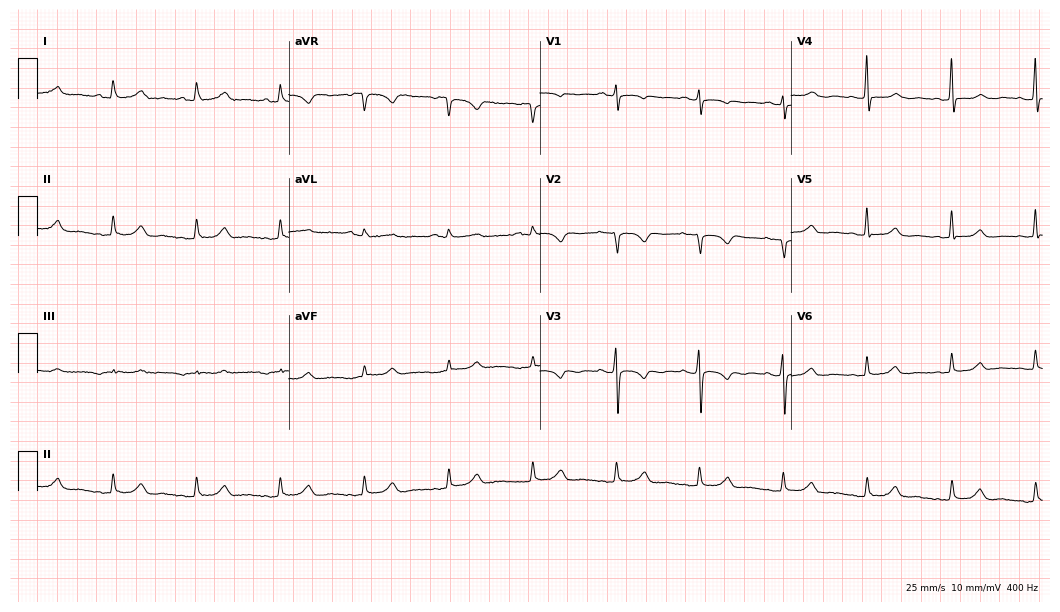
12-lead ECG (10.2-second recording at 400 Hz) from a 35-year-old female patient. Labelled as a normal ECG.